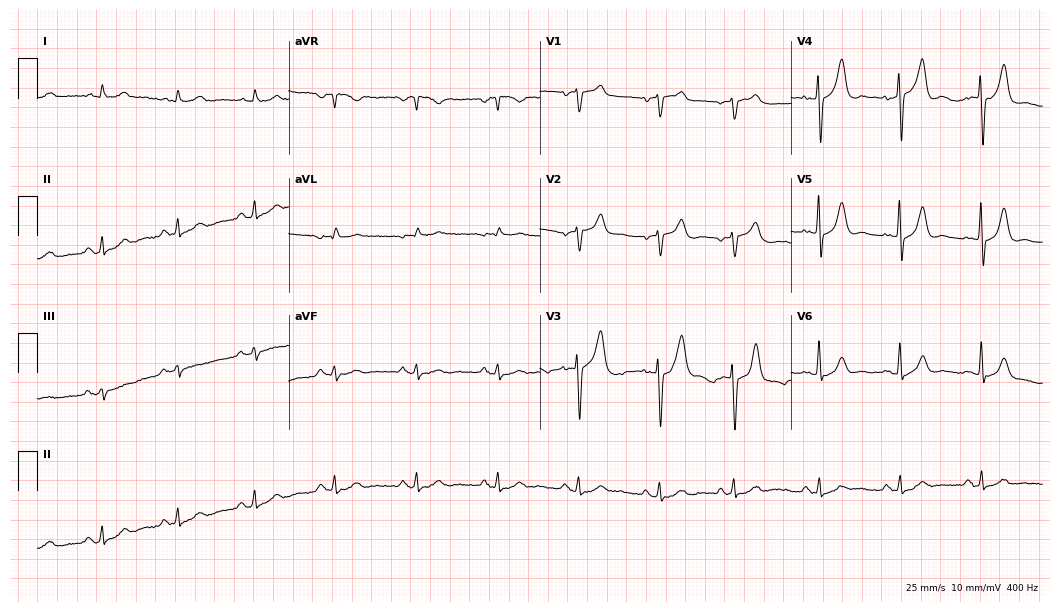
Resting 12-lead electrocardiogram (10.2-second recording at 400 Hz). Patient: a male, 80 years old. Read as a normal ECG.